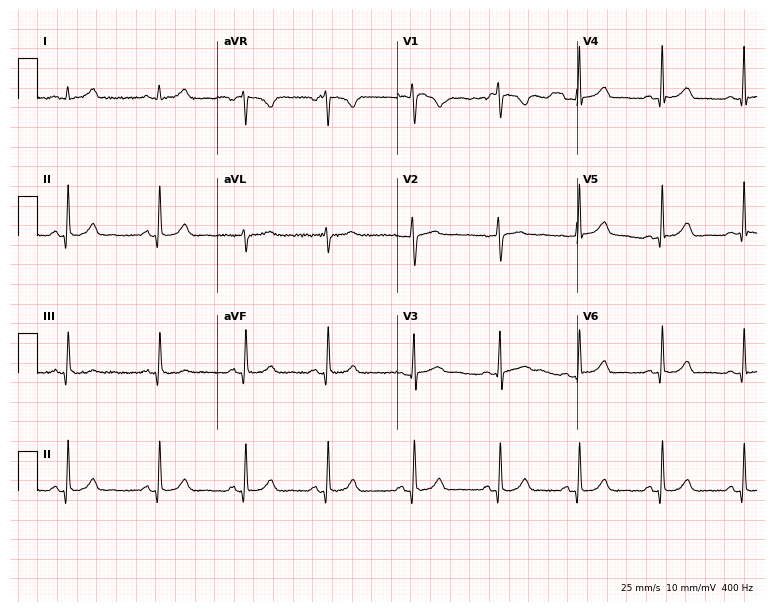
12-lead ECG from a 23-year-old female patient (7.3-second recording at 400 Hz). Recorded interpretation: within normal limits.